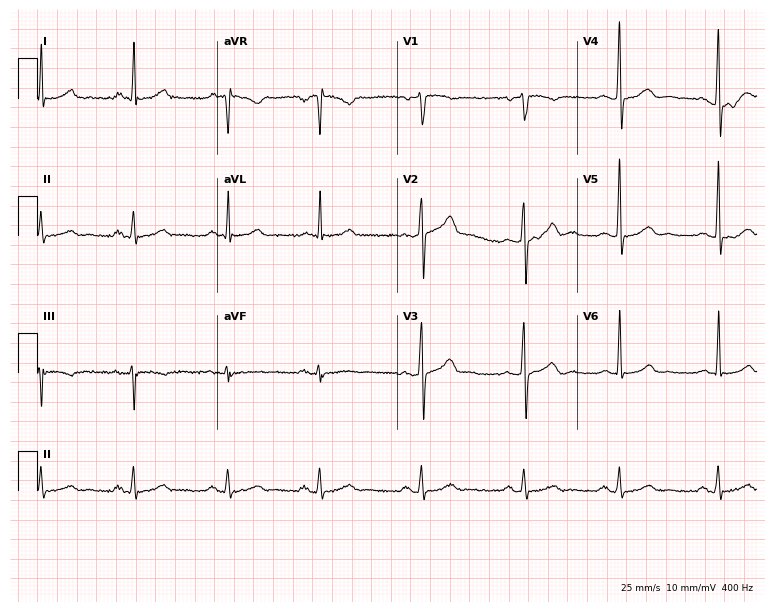
Resting 12-lead electrocardiogram (7.3-second recording at 400 Hz). Patient: a male, 58 years old. None of these six findings is recorded: first-degree AV block, right bundle branch block (RBBB), left bundle branch block (LBBB), sinus bradycardia, atrial fibrillation (AF), sinus tachycardia. Other findings, if any, are not listed.